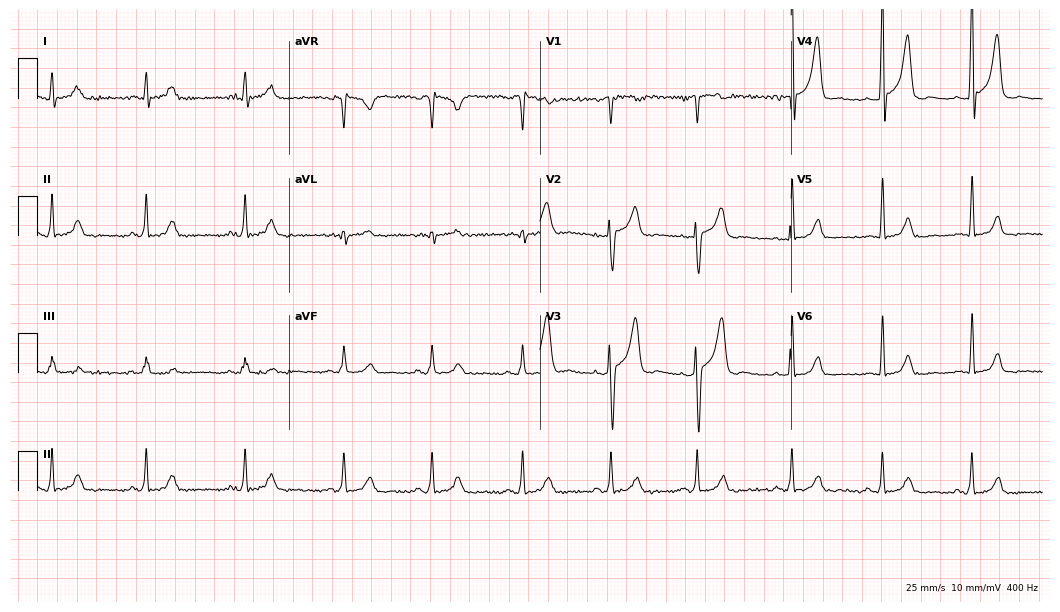
Resting 12-lead electrocardiogram (10.2-second recording at 400 Hz). Patient: a male, 37 years old. Read as a normal ECG.